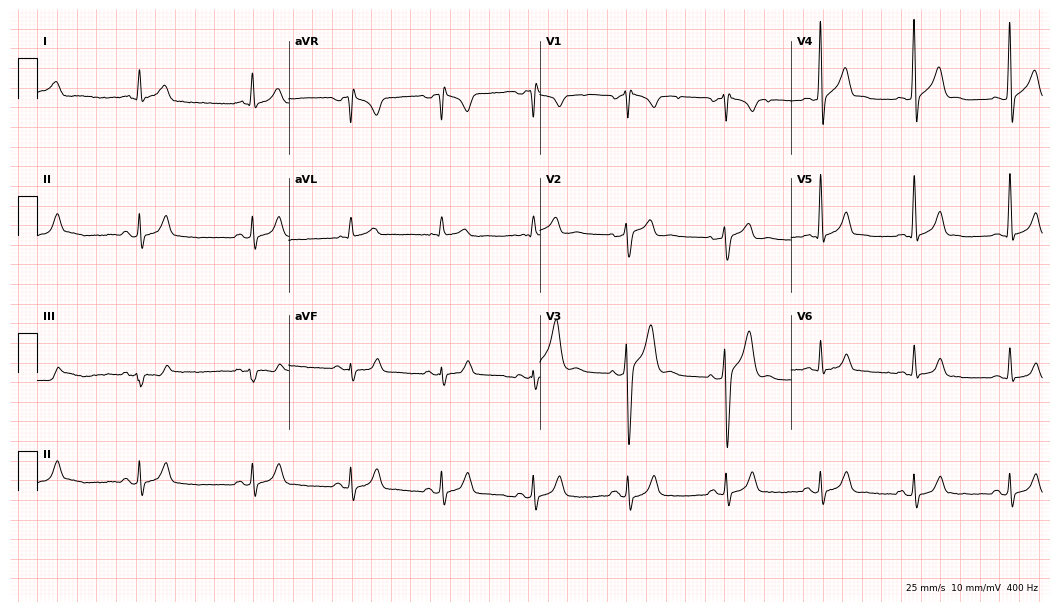
Resting 12-lead electrocardiogram (10.2-second recording at 400 Hz). Patient: a 30-year-old man. None of these six findings is recorded: first-degree AV block, right bundle branch block, left bundle branch block, sinus bradycardia, atrial fibrillation, sinus tachycardia.